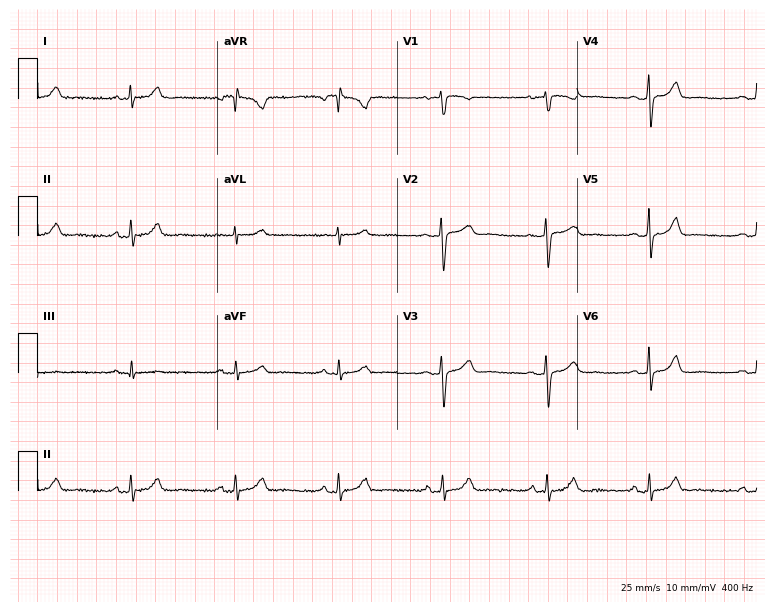
Standard 12-lead ECG recorded from a female patient, 35 years old (7.3-second recording at 400 Hz). Read as a normal ECG.